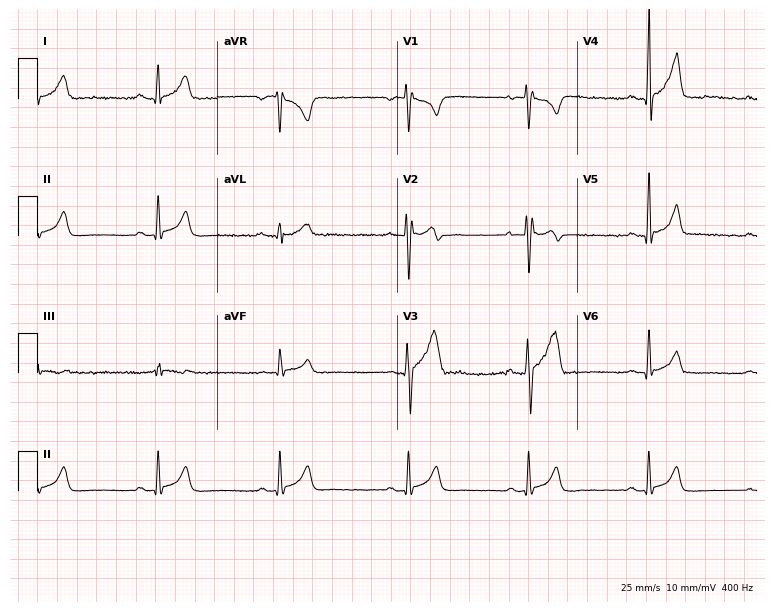
12-lead ECG from a 26-year-old male patient. Shows sinus bradycardia (a sinus rate of 50 beats per minute or less).